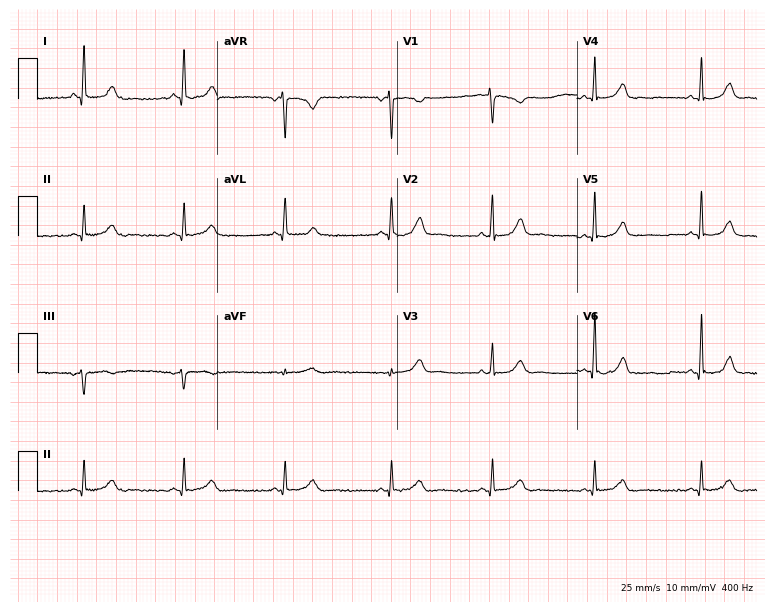
Standard 12-lead ECG recorded from a woman, 38 years old (7.3-second recording at 400 Hz). Read as a normal ECG.